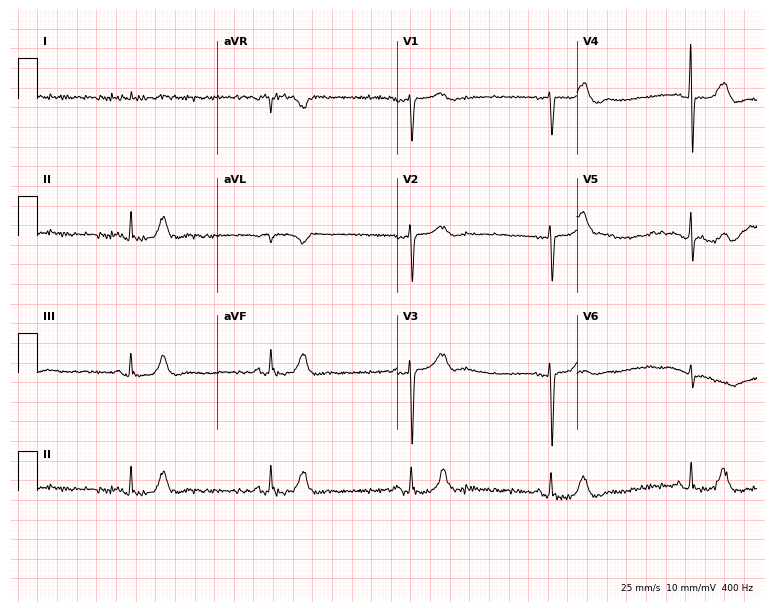
Resting 12-lead electrocardiogram. Patient: a 72-year-old male. The tracing shows sinus bradycardia (a sinus rate of 50 beats per minute or less).